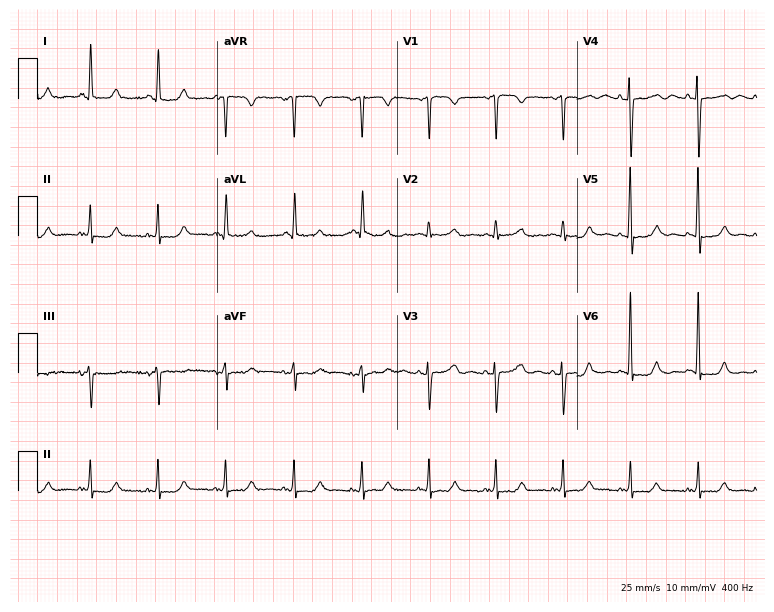
Standard 12-lead ECG recorded from a female patient, 66 years old (7.3-second recording at 400 Hz). Read as a normal ECG.